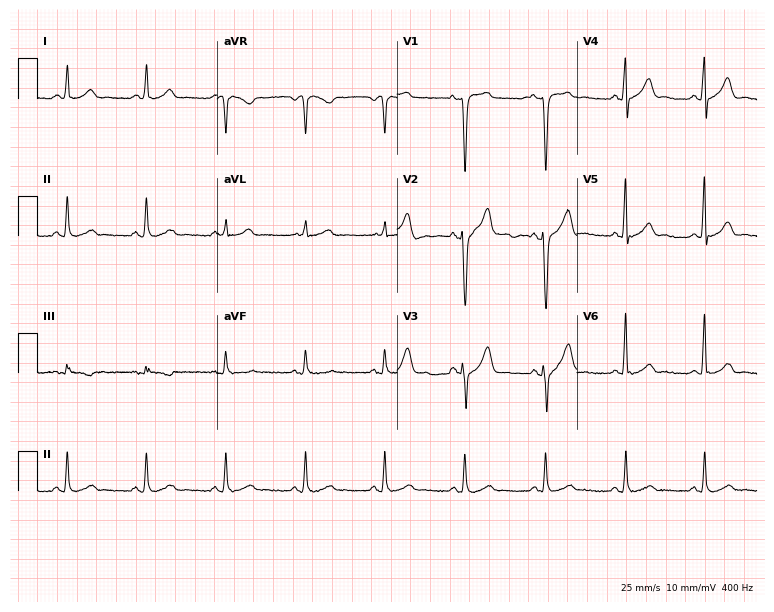
12-lead ECG (7.3-second recording at 400 Hz) from a male, 49 years old. Screened for six findings — first-degree AV block, right bundle branch block, left bundle branch block, sinus bradycardia, atrial fibrillation, sinus tachycardia — none is recorded.